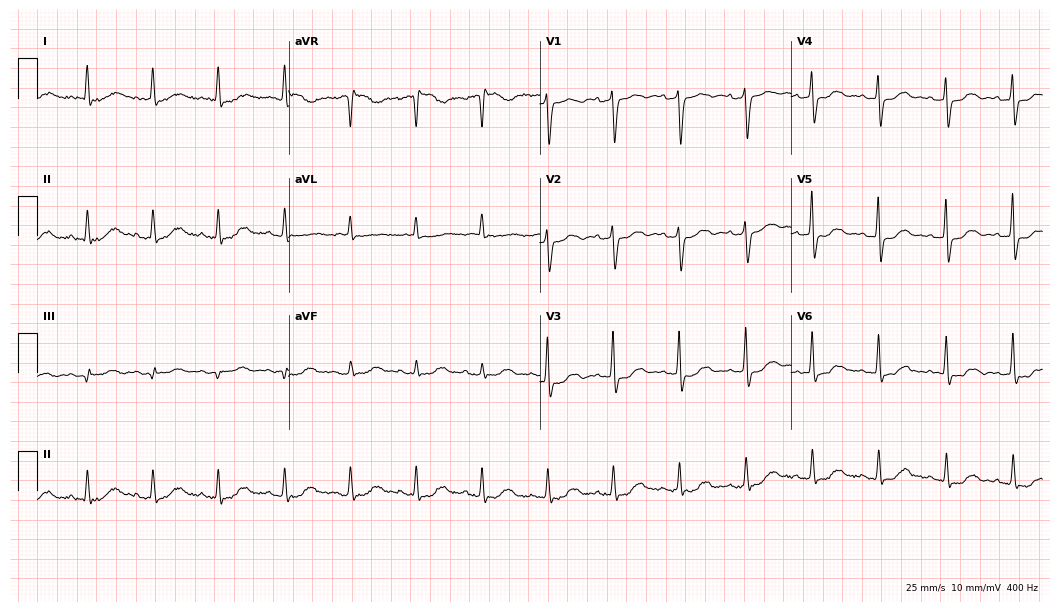
Electrocardiogram (10.2-second recording at 400 Hz), a female, 68 years old. Of the six screened findings (first-degree AV block, right bundle branch block (RBBB), left bundle branch block (LBBB), sinus bradycardia, atrial fibrillation (AF), sinus tachycardia), none is recorded.